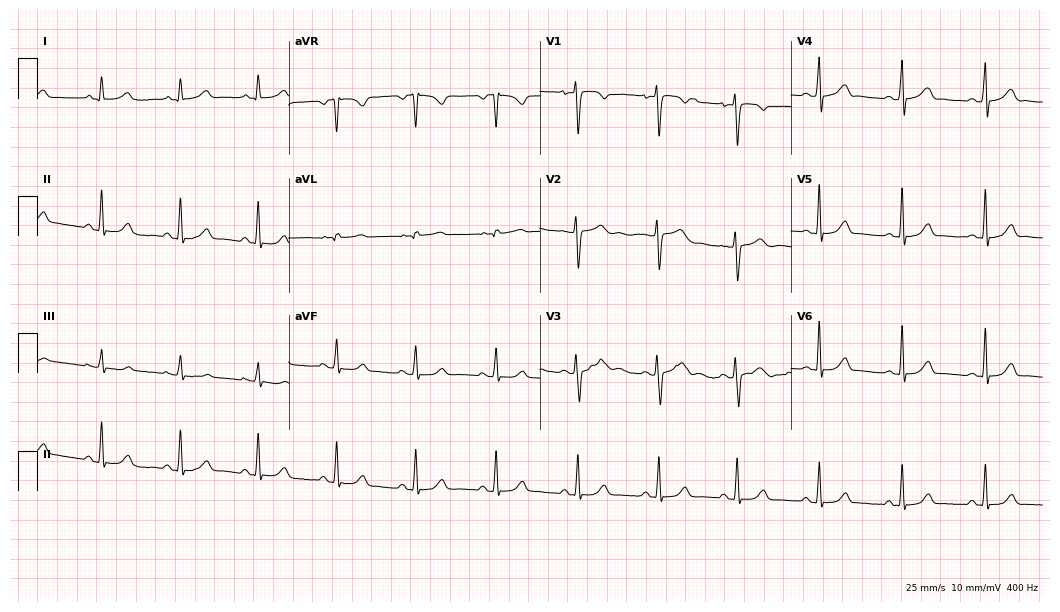
12-lead ECG from a 28-year-old female. Recorded interpretation: within normal limits.